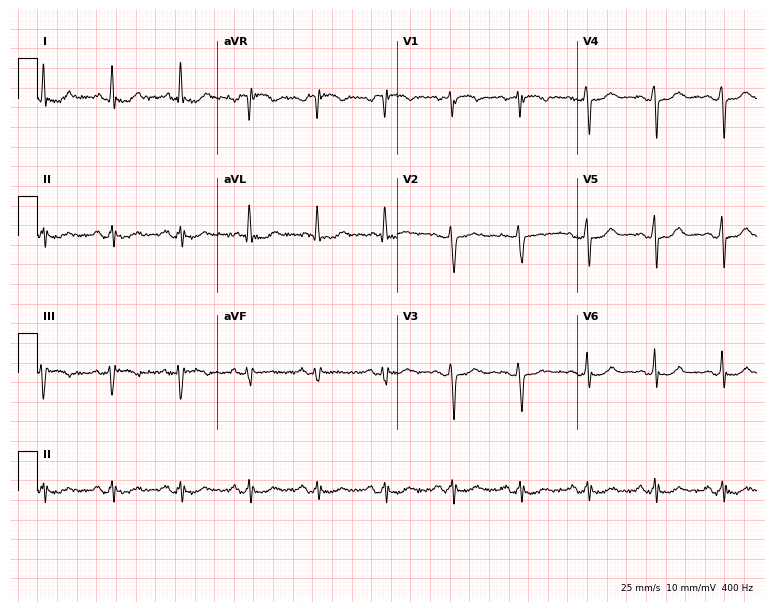
Electrocardiogram (7.3-second recording at 400 Hz), a 64-year-old female. Of the six screened findings (first-degree AV block, right bundle branch block, left bundle branch block, sinus bradycardia, atrial fibrillation, sinus tachycardia), none is recorded. Findings outside these six are not listed.